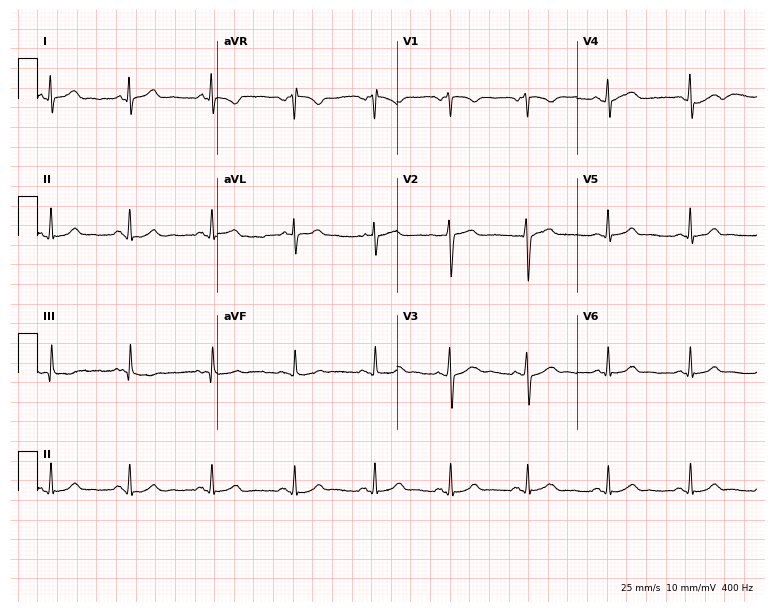
Resting 12-lead electrocardiogram. Patient: a male, 32 years old. Read as a normal ECG.